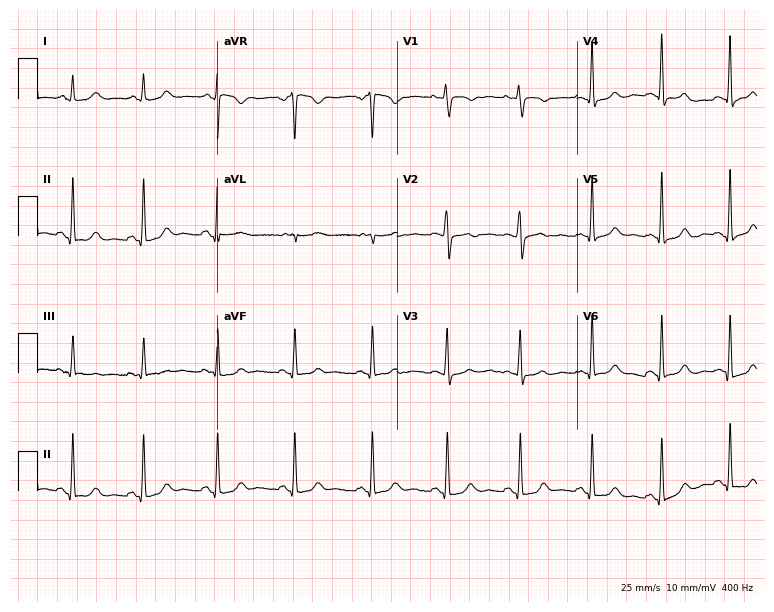
12-lead ECG from a female, 44 years old. Labelled as a normal ECG.